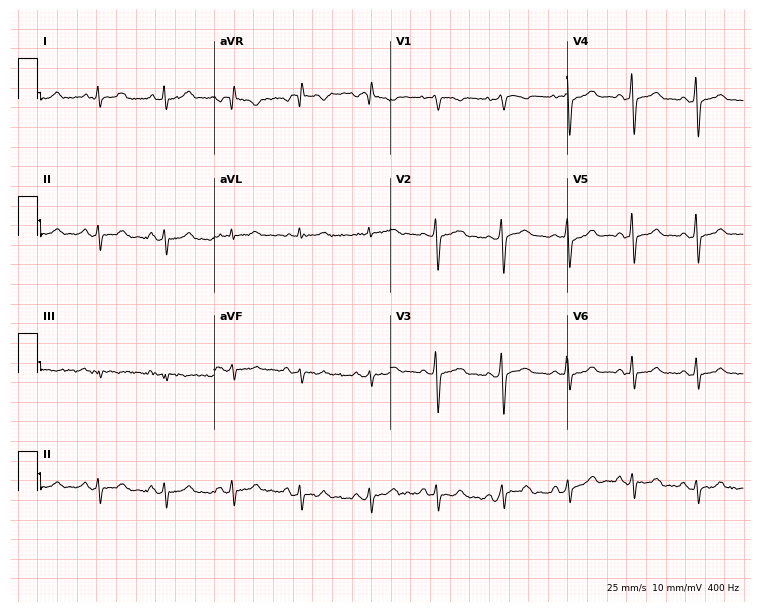
Standard 12-lead ECG recorded from a female patient, 46 years old. None of these six findings is recorded: first-degree AV block, right bundle branch block (RBBB), left bundle branch block (LBBB), sinus bradycardia, atrial fibrillation (AF), sinus tachycardia.